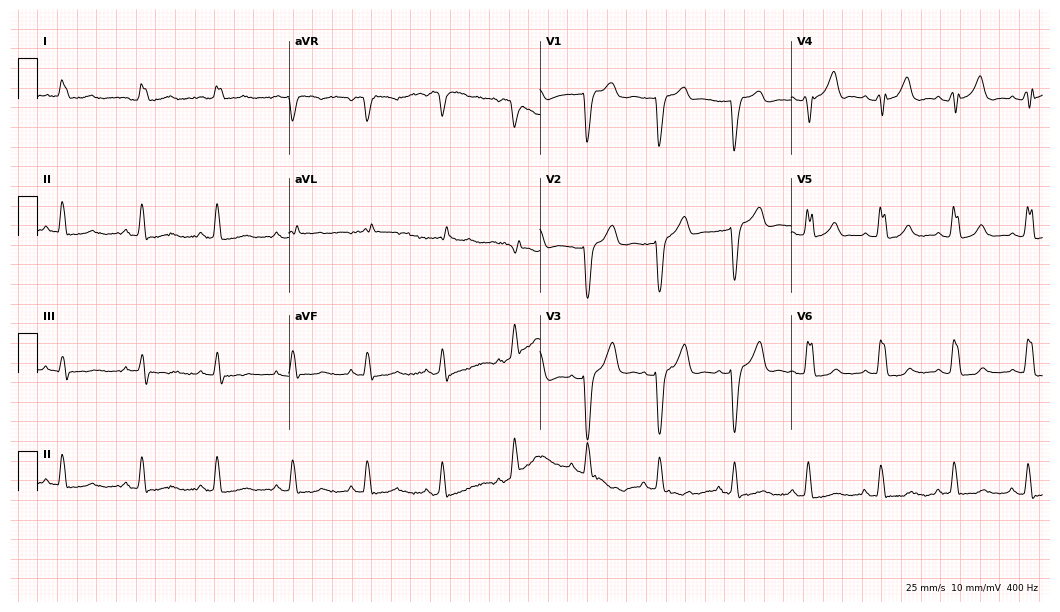
12-lead ECG from a 73-year-old female patient. Shows left bundle branch block.